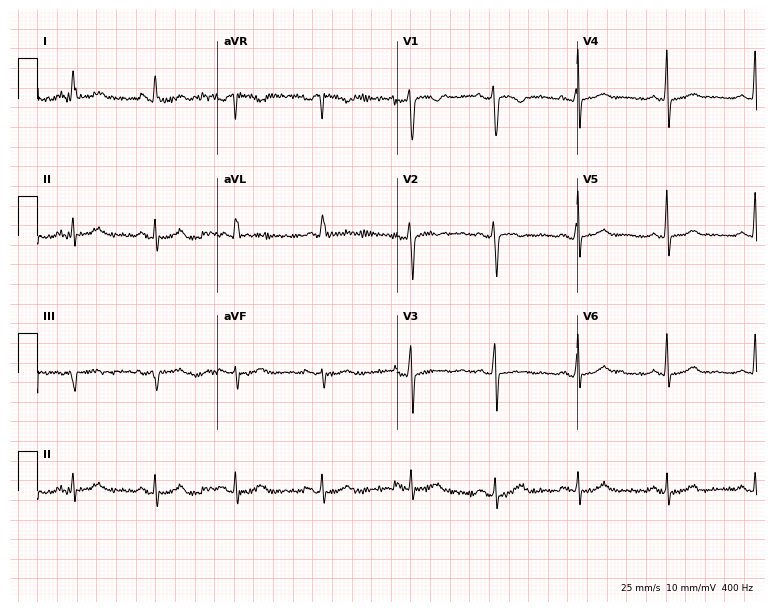
Standard 12-lead ECG recorded from a female patient, 20 years old. None of these six findings is recorded: first-degree AV block, right bundle branch block, left bundle branch block, sinus bradycardia, atrial fibrillation, sinus tachycardia.